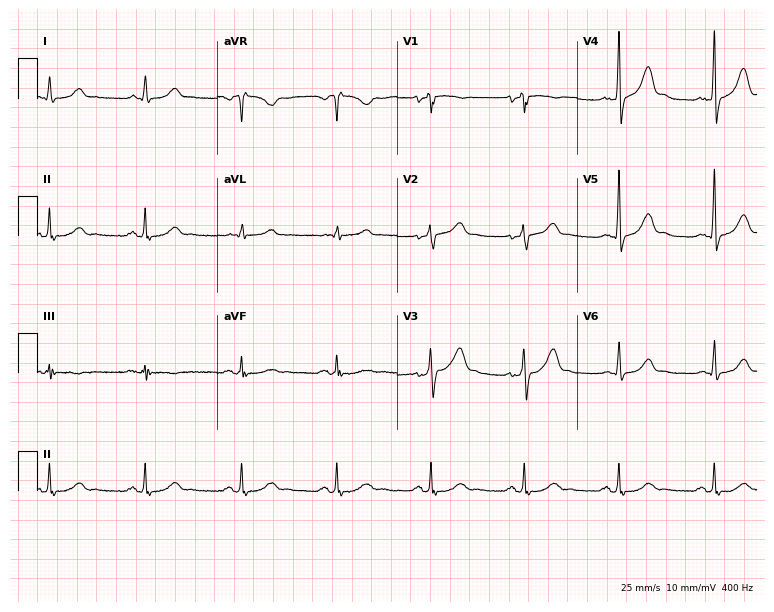
Standard 12-lead ECG recorded from a 59-year-old man (7.3-second recording at 400 Hz). Read as a normal ECG.